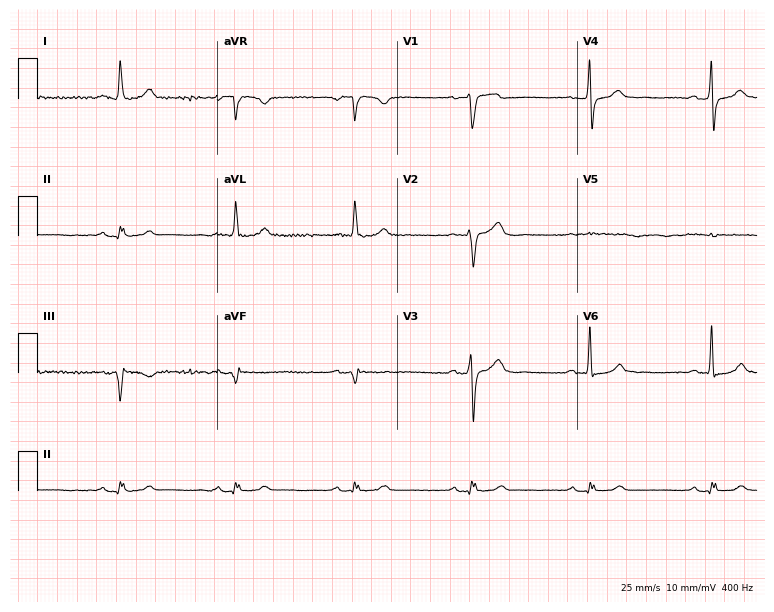
Electrocardiogram, a 75-year-old male. Interpretation includes sinus bradycardia (a sinus rate of 50 beats per minute or less).